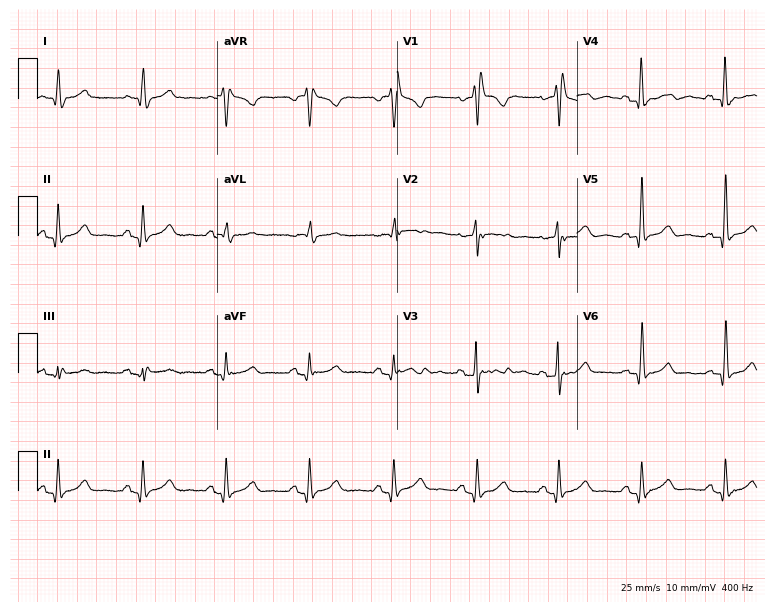
Standard 12-lead ECG recorded from a 70-year-old woman (7.3-second recording at 400 Hz). The tracing shows right bundle branch block.